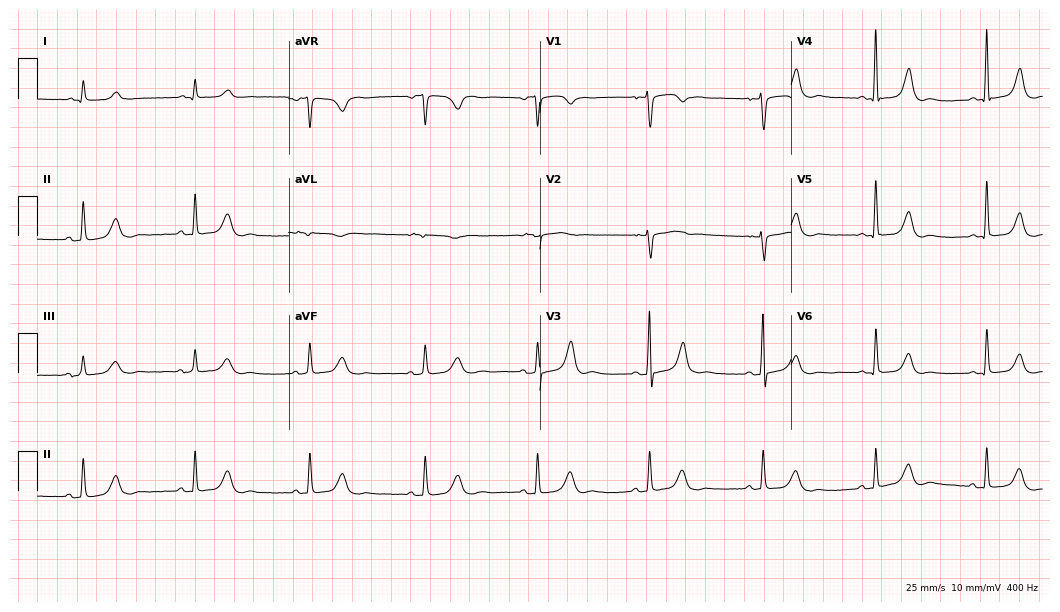
Resting 12-lead electrocardiogram (10.2-second recording at 400 Hz). Patient: a woman, 60 years old. Read as a normal ECG.